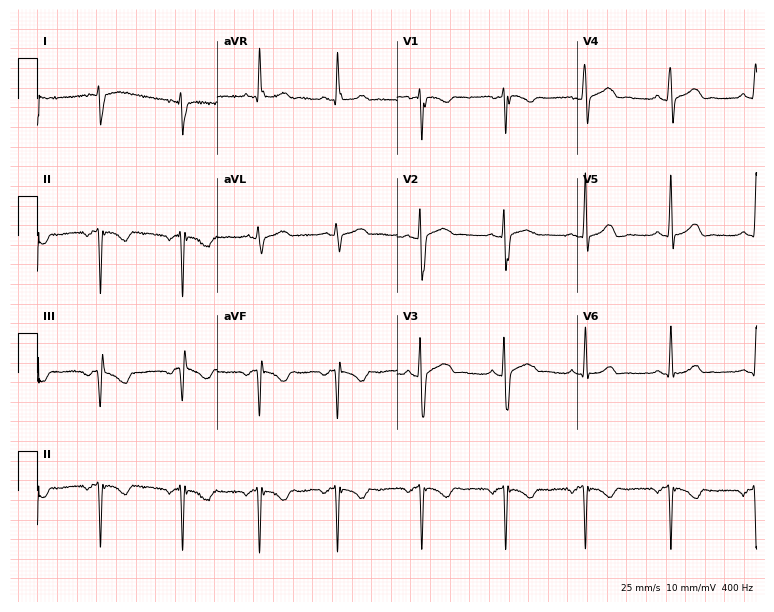
Electrocardiogram (7.3-second recording at 400 Hz), a female, 18 years old. Of the six screened findings (first-degree AV block, right bundle branch block, left bundle branch block, sinus bradycardia, atrial fibrillation, sinus tachycardia), none is recorded. Findings outside these six are not listed.